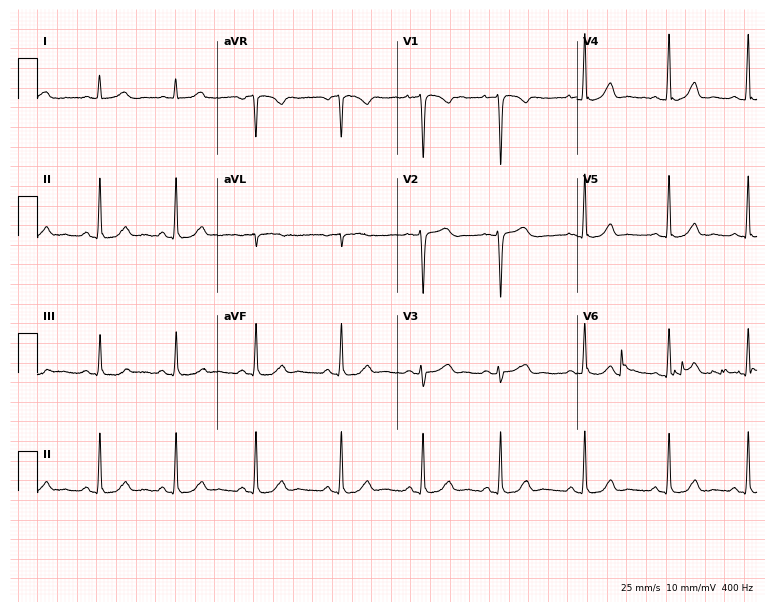
Standard 12-lead ECG recorded from a 28-year-old female patient (7.3-second recording at 400 Hz). Read as a normal ECG.